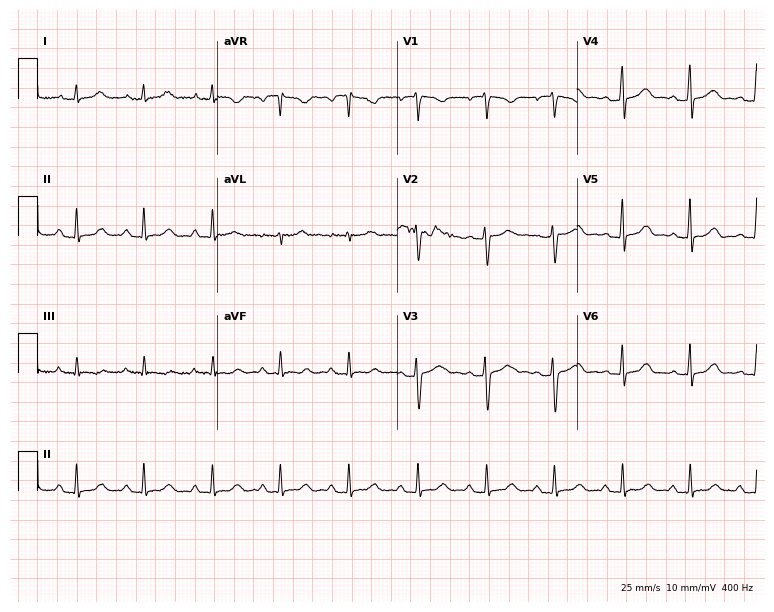
Standard 12-lead ECG recorded from a female patient, 39 years old. None of these six findings is recorded: first-degree AV block, right bundle branch block (RBBB), left bundle branch block (LBBB), sinus bradycardia, atrial fibrillation (AF), sinus tachycardia.